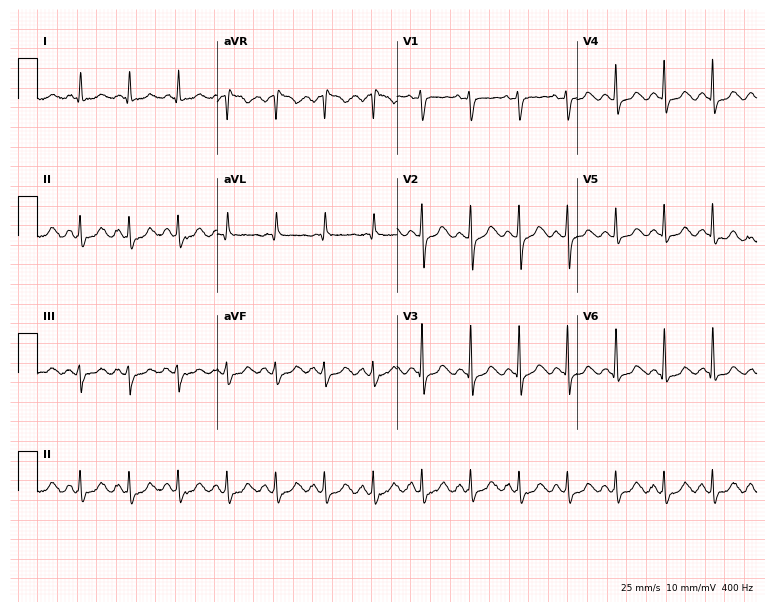
12-lead ECG from a female, 65 years old. Shows sinus tachycardia (a sinus rate of 100 beats per minute or more).